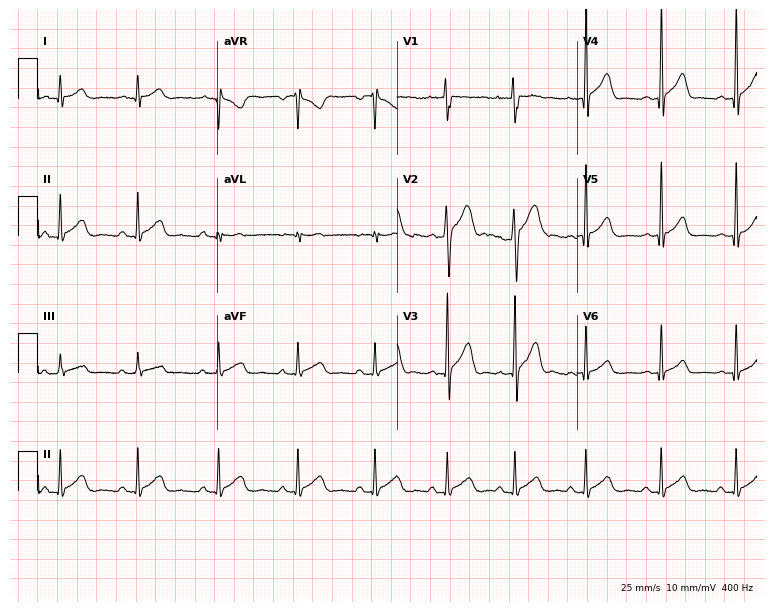
12-lead ECG from a male, 19 years old (7.3-second recording at 400 Hz). Recorded interpretation: within normal limits.